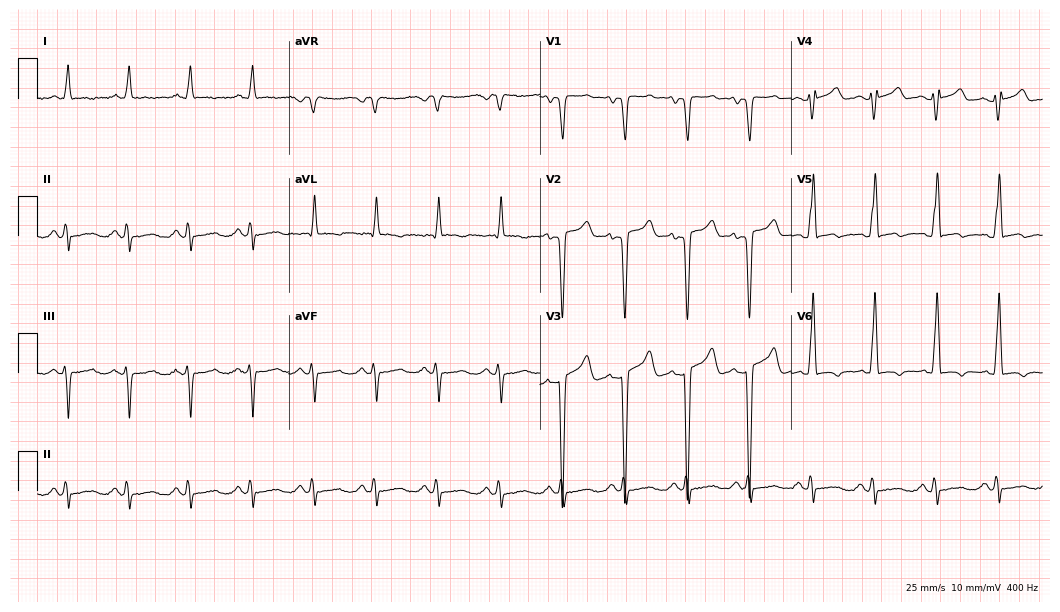
12-lead ECG from a male, 59 years old. Screened for six findings — first-degree AV block, right bundle branch block, left bundle branch block, sinus bradycardia, atrial fibrillation, sinus tachycardia — none is recorded. Other findings, if any, are not listed.